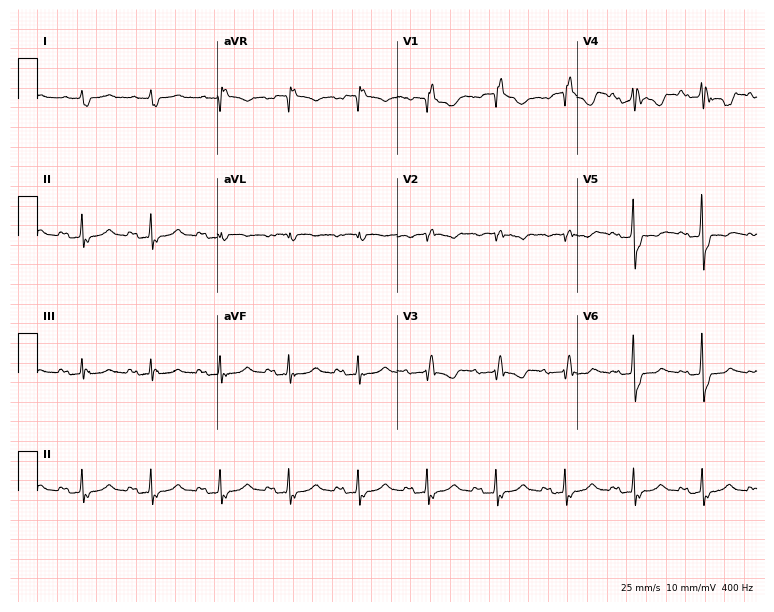
ECG — a 75-year-old man. Findings include right bundle branch block.